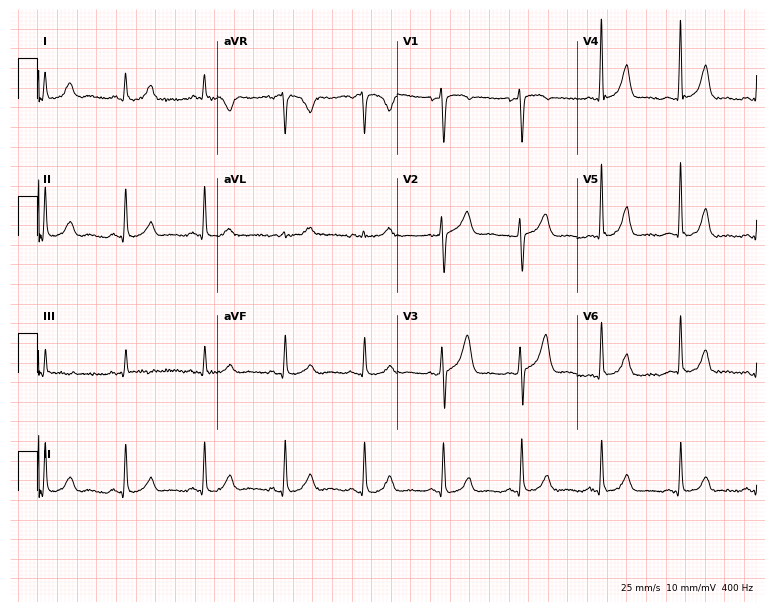
12-lead ECG from a male patient, 40 years old. Screened for six findings — first-degree AV block, right bundle branch block, left bundle branch block, sinus bradycardia, atrial fibrillation, sinus tachycardia — none is recorded.